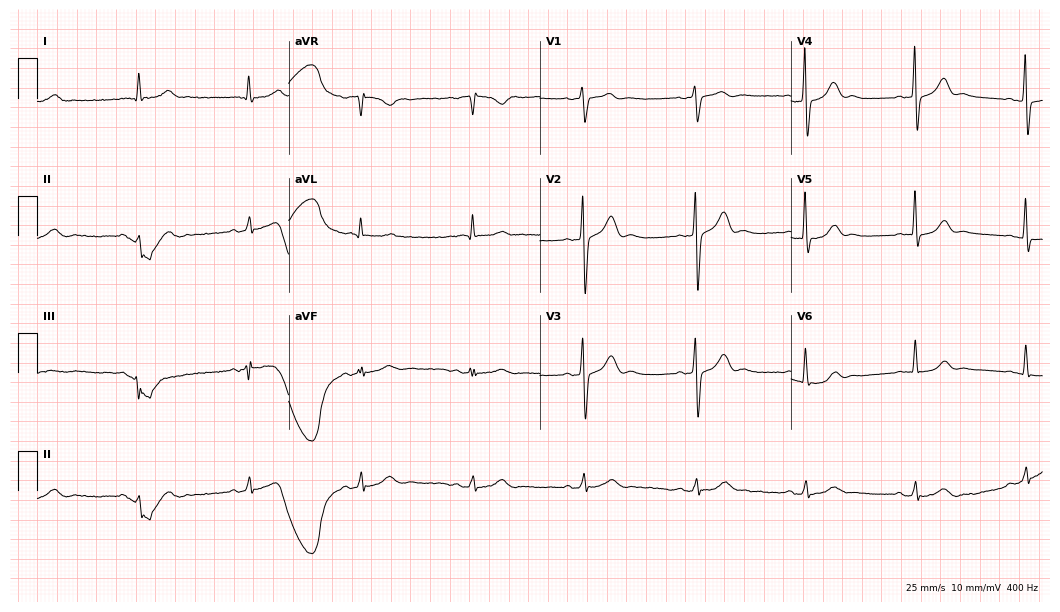
Standard 12-lead ECG recorded from an 81-year-old male patient. None of these six findings is recorded: first-degree AV block, right bundle branch block (RBBB), left bundle branch block (LBBB), sinus bradycardia, atrial fibrillation (AF), sinus tachycardia.